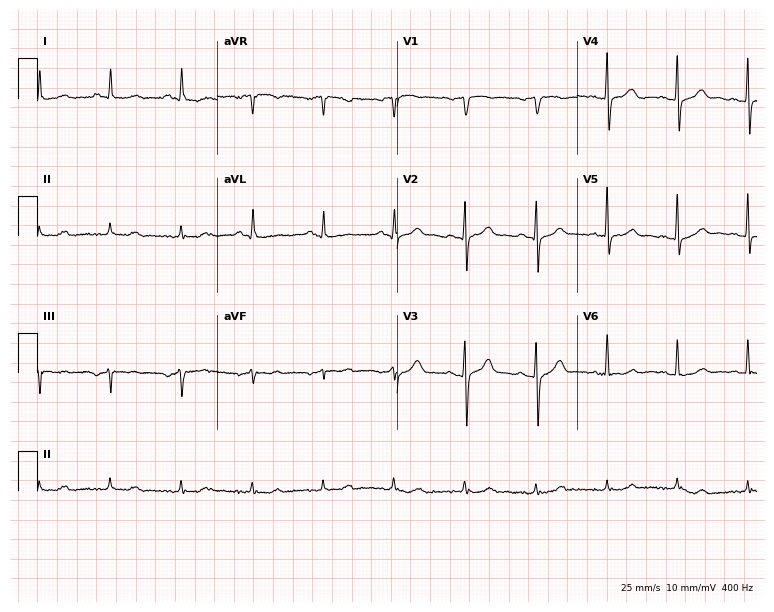
12-lead ECG from a male, 83 years old. Screened for six findings — first-degree AV block, right bundle branch block, left bundle branch block, sinus bradycardia, atrial fibrillation, sinus tachycardia — none is recorded. Only these six findings were labelled.